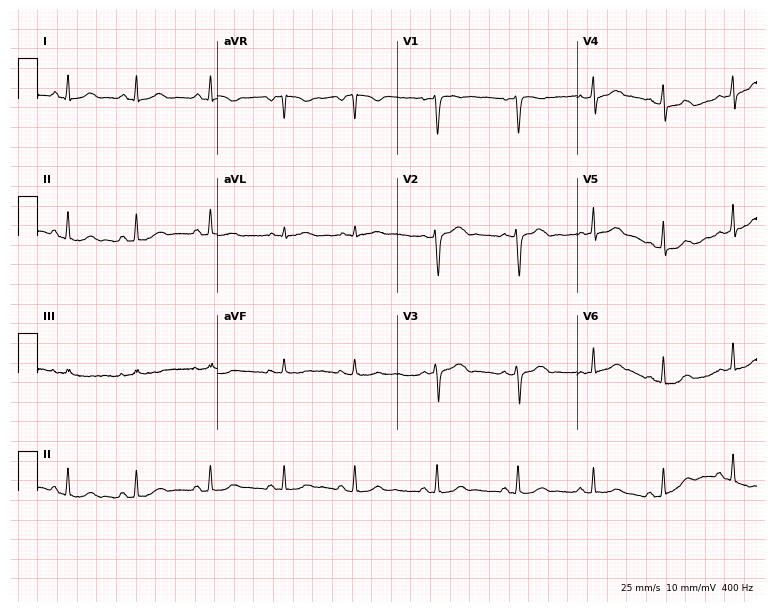
12-lead ECG from a 37-year-old woman. No first-degree AV block, right bundle branch block (RBBB), left bundle branch block (LBBB), sinus bradycardia, atrial fibrillation (AF) or sinus tachycardia recorded for this tracing. Findings outside these six are not listed.